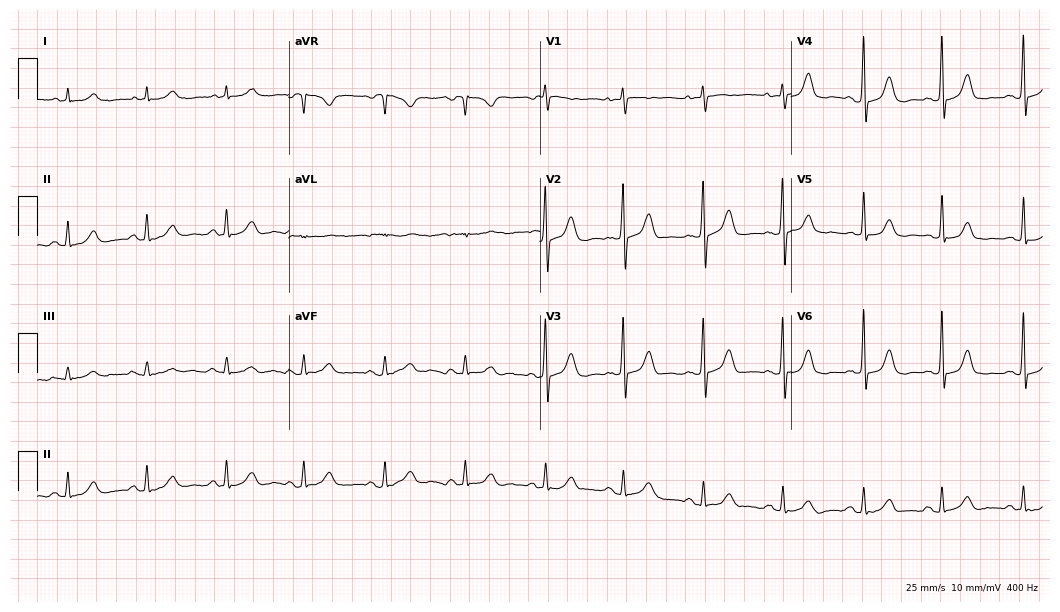
Electrocardiogram (10.2-second recording at 400 Hz), a female patient, 85 years old. Overall reading on record: normal ECG.